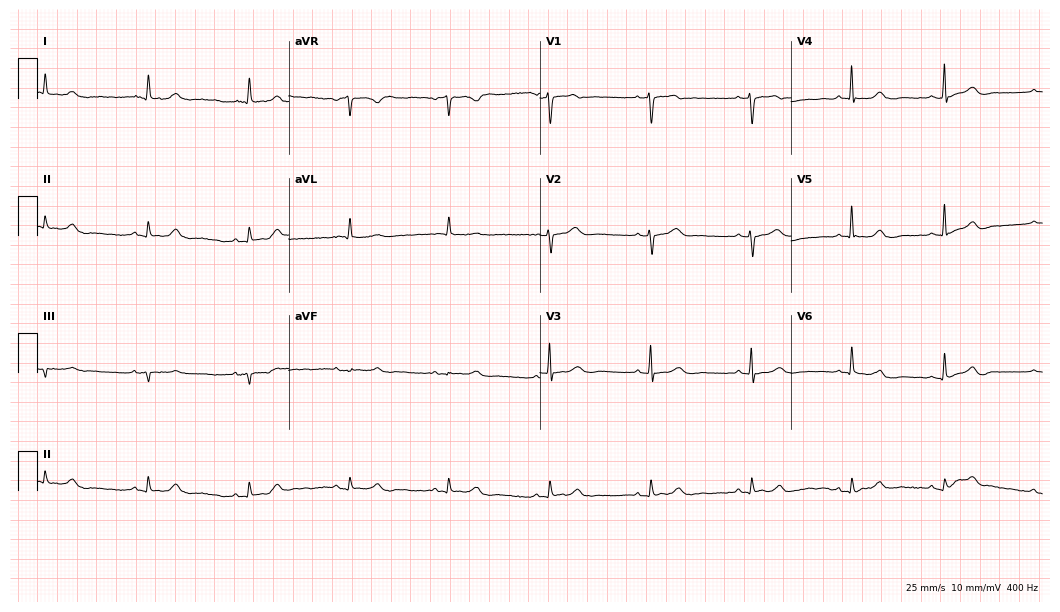
Resting 12-lead electrocardiogram (10.2-second recording at 400 Hz). Patient: a female, 82 years old. Read as a normal ECG.